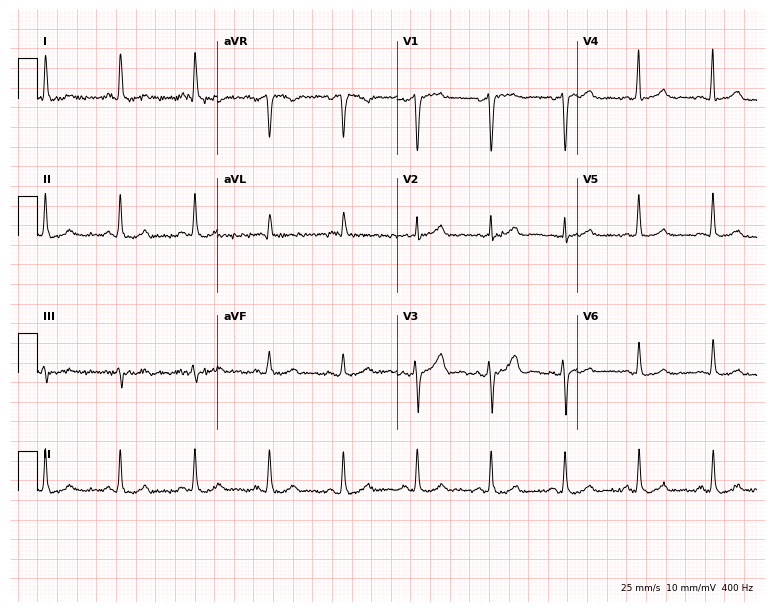
Standard 12-lead ECG recorded from a 61-year-old male patient (7.3-second recording at 400 Hz). None of these six findings is recorded: first-degree AV block, right bundle branch block (RBBB), left bundle branch block (LBBB), sinus bradycardia, atrial fibrillation (AF), sinus tachycardia. Other findings, if any, are not listed.